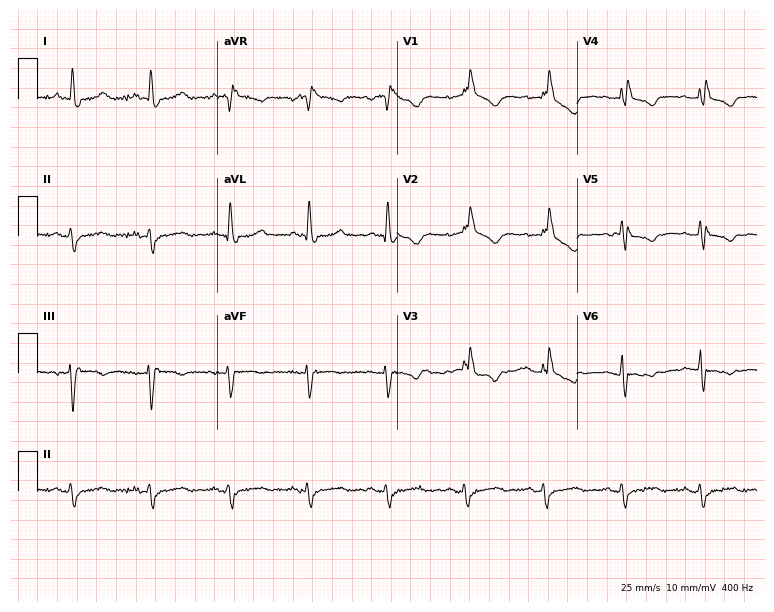
12-lead ECG (7.3-second recording at 400 Hz) from a 77-year-old female. Findings include right bundle branch block.